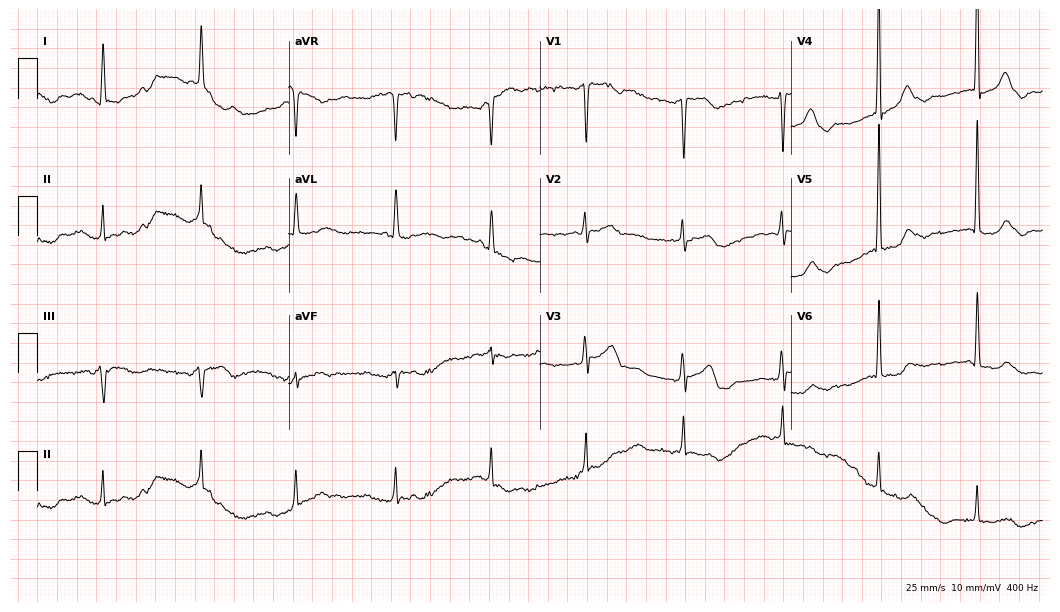
Resting 12-lead electrocardiogram (10.2-second recording at 400 Hz). Patient: a female, 84 years old. None of these six findings is recorded: first-degree AV block, right bundle branch block, left bundle branch block, sinus bradycardia, atrial fibrillation, sinus tachycardia. Findings outside these six are not listed.